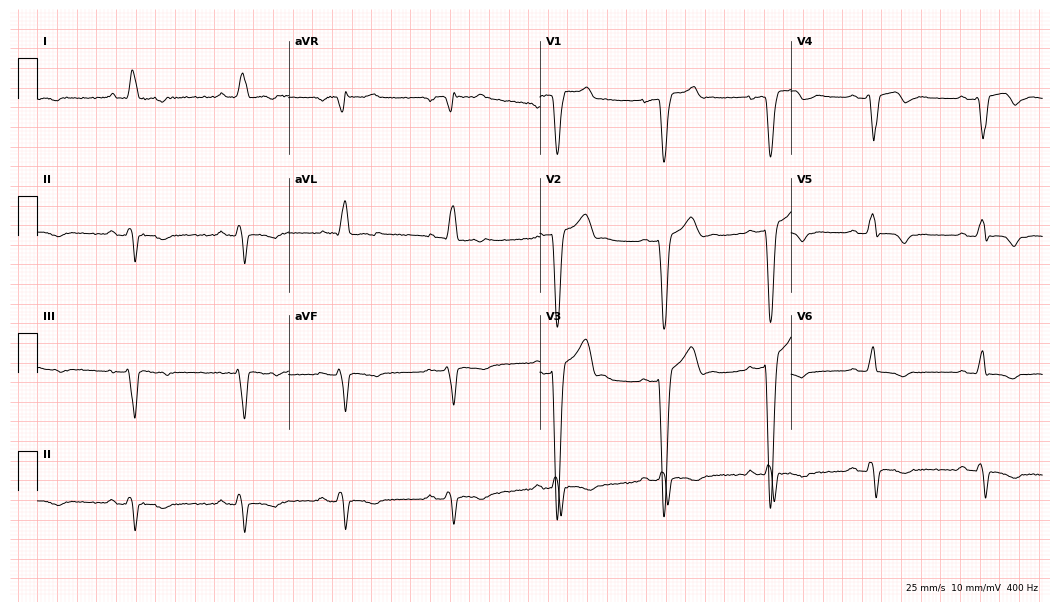
12-lead ECG from a 32-year-old male. Findings include left bundle branch block.